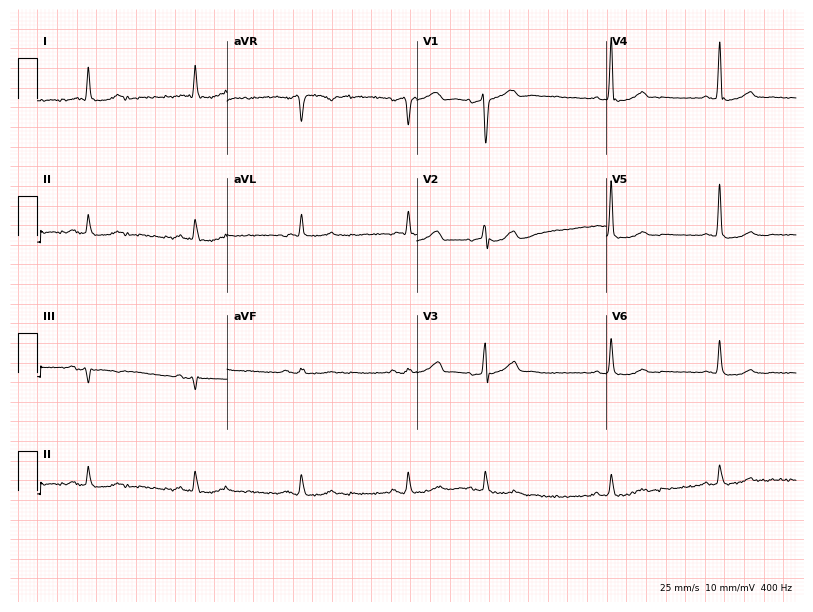
12-lead ECG from a male, 85 years old. No first-degree AV block, right bundle branch block, left bundle branch block, sinus bradycardia, atrial fibrillation or sinus tachycardia recorded for this tracing. Other findings, if any, are not listed.